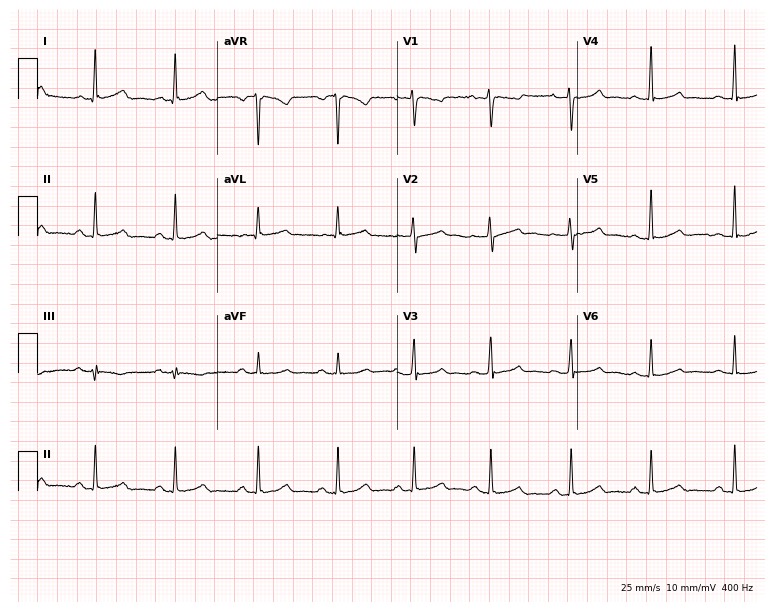
Resting 12-lead electrocardiogram. Patient: a 36-year-old woman. None of these six findings is recorded: first-degree AV block, right bundle branch block, left bundle branch block, sinus bradycardia, atrial fibrillation, sinus tachycardia. Findings outside these six are not listed.